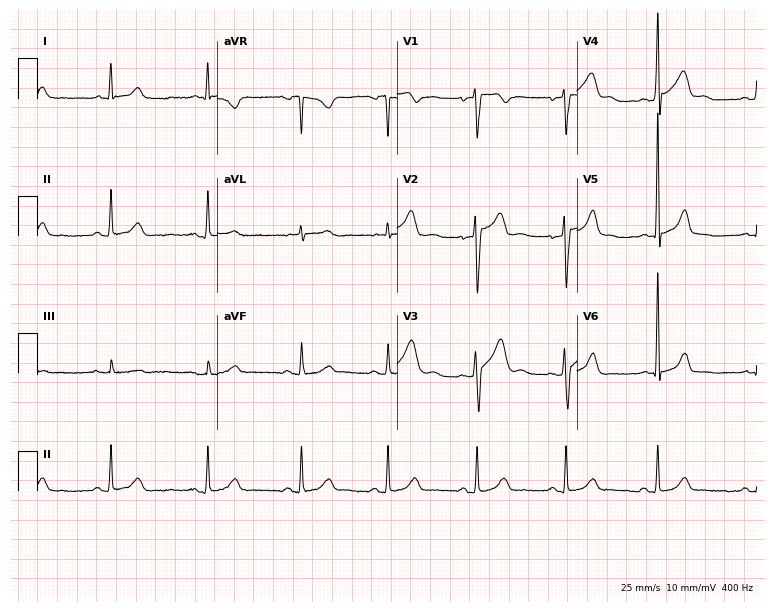
Electrocardiogram (7.3-second recording at 400 Hz), a man, 31 years old. Overall reading on record: normal ECG.